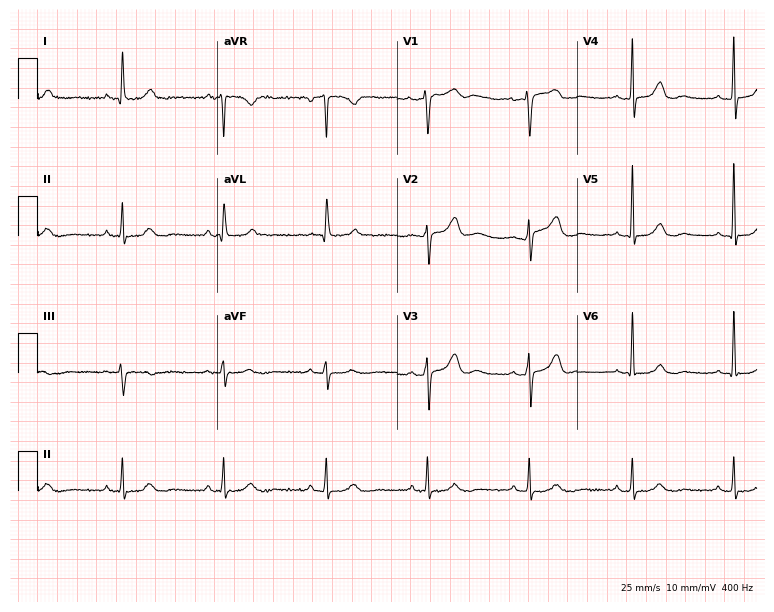
ECG (7.3-second recording at 400 Hz) — a 70-year-old female. Labelled as a normal ECG.